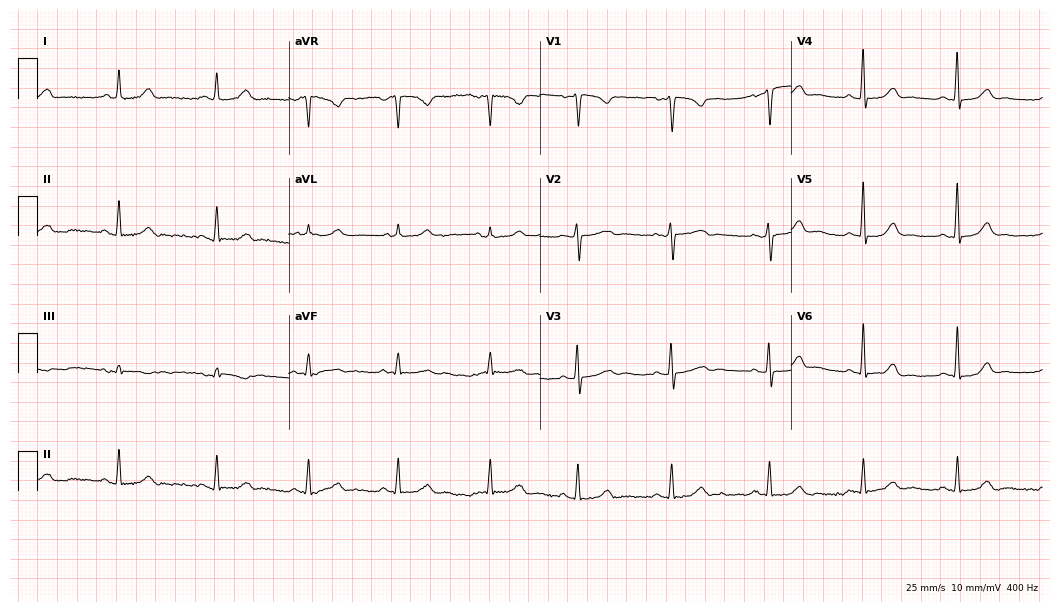
ECG (10.2-second recording at 400 Hz) — a female, 34 years old. Labelled as a normal ECG.